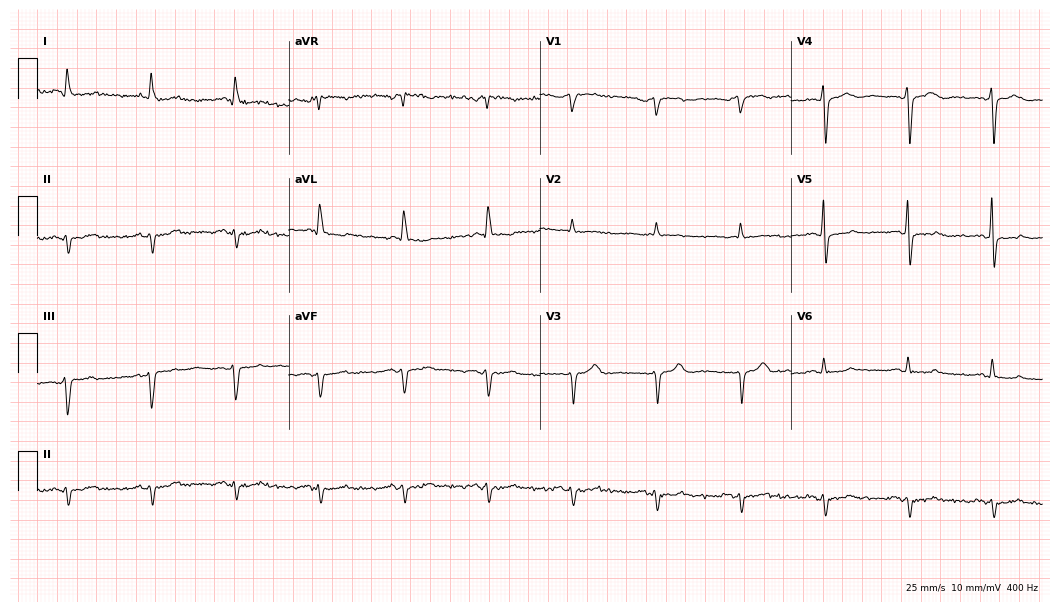
ECG — a 67-year-old man. Screened for six findings — first-degree AV block, right bundle branch block, left bundle branch block, sinus bradycardia, atrial fibrillation, sinus tachycardia — none is recorded.